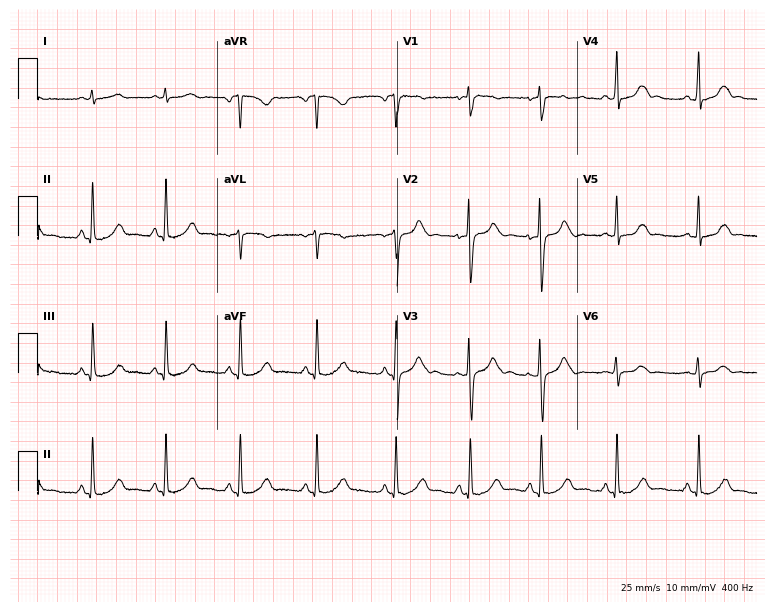
12-lead ECG (7.3-second recording at 400 Hz) from a 17-year-old female. Screened for six findings — first-degree AV block, right bundle branch block, left bundle branch block, sinus bradycardia, atrial fibrillation, sinus tachycardia — none is recorded.